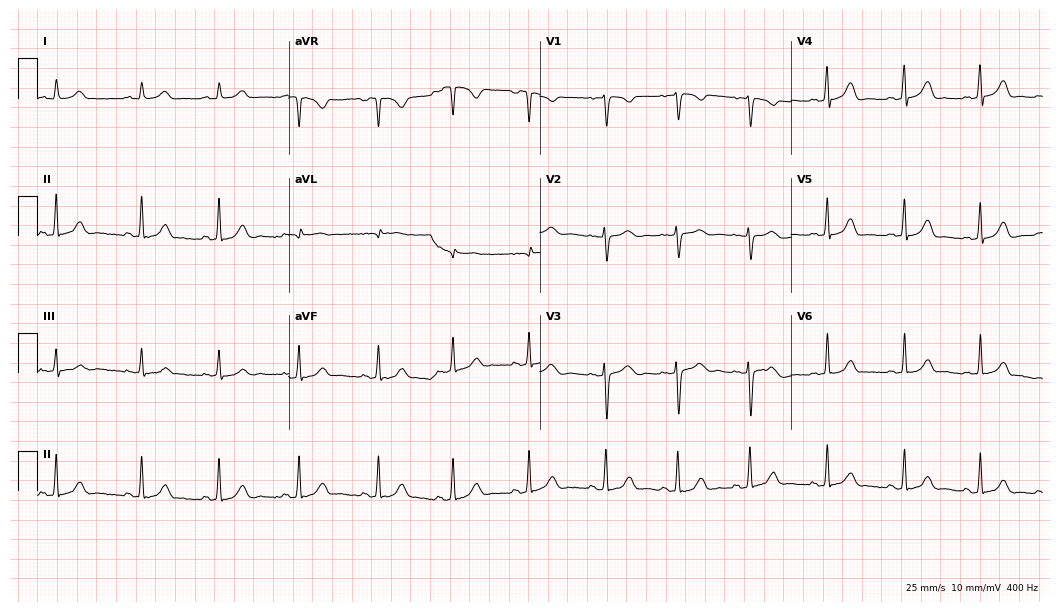
ECG — a 20-year-old female patient. Screened for six findings — first-degree AV block, right bundle branch block, left bundle branch block, sinus bradycardia, atrial fibrillation, sinus tachycardia — none is recorded.